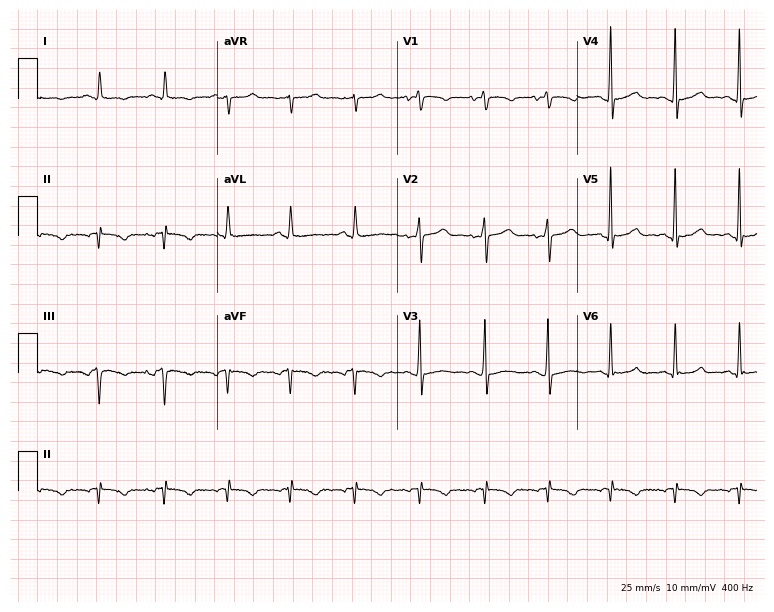
ECG — a woman, 46 years old. Screened for six findings — first-degree AV block, right bundle branch block, left bundle branch block, sinus bradycardia, atrial fibrillation, sinus tachycardia — none is recorded. Only these six findings were labelled.